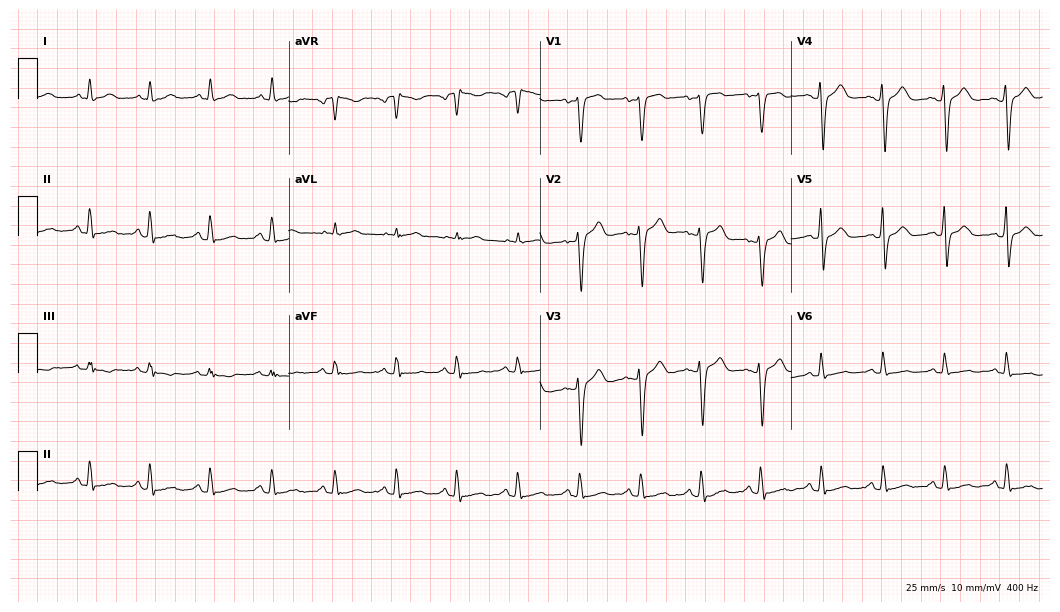
Standard 12-lead ECG recorded from a woman, 37 years old (10.2-second recording at 400 Hz). Read as a normal ECG.